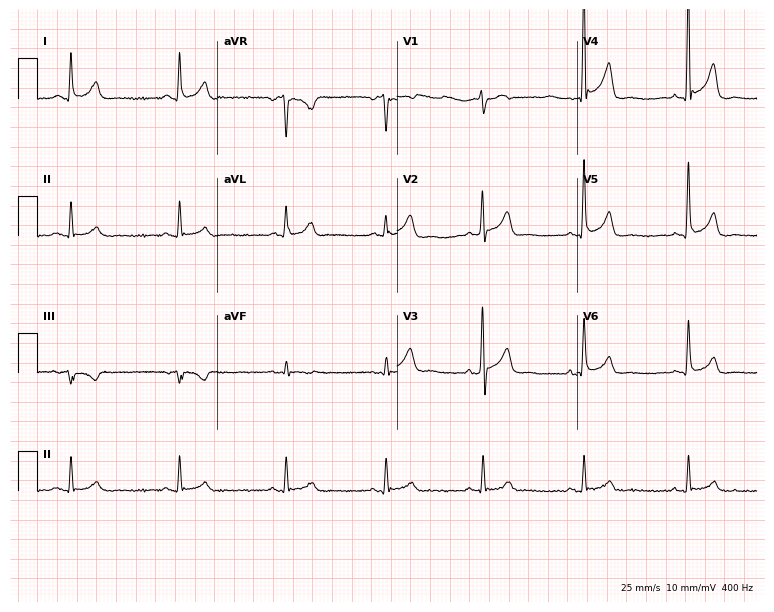
12-lead ECG from a 56-year-old male. Labelled as a normal ECG.